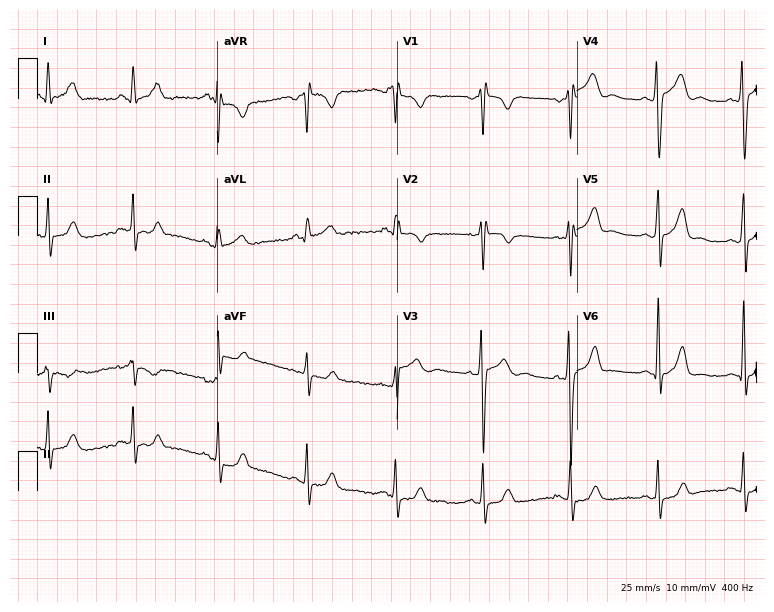
12-lead ECG from a male patient, 22 years old. No first-degree AV block, right bundle branch block (RBBB), left bundle branch block (LBBB), sinus bradycardia, atrial fibrillation (AF) or sinus tachycardia recorded for this tracing. Only these six findings were labelled.